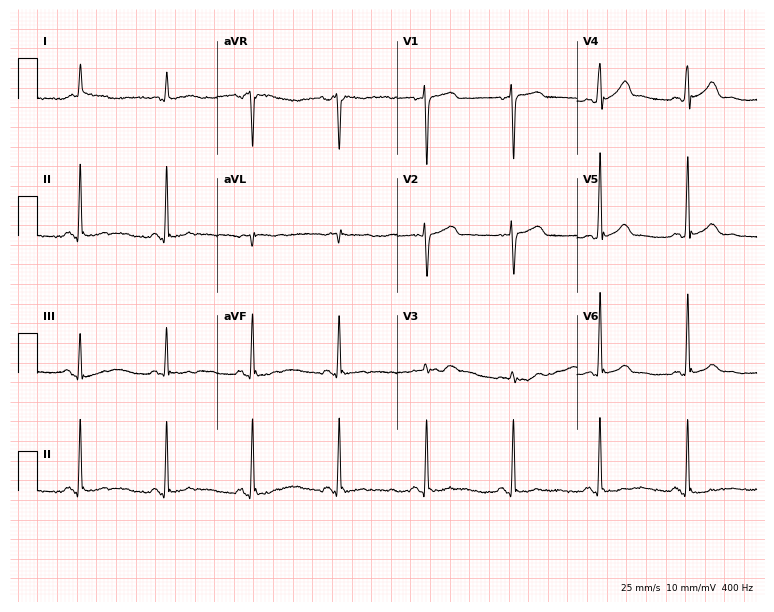
Resting 12-lead electrocardiogram (7.3-second recording at 400 Hz). Patient: a male, 62 years old. None of these six findings is recorded: first-degree AV block, right bundle branch block (RBBB), left bundle branch block (LBBB), sinus bradycardia, atrial fibrillation (AF), sinus tachycardia.